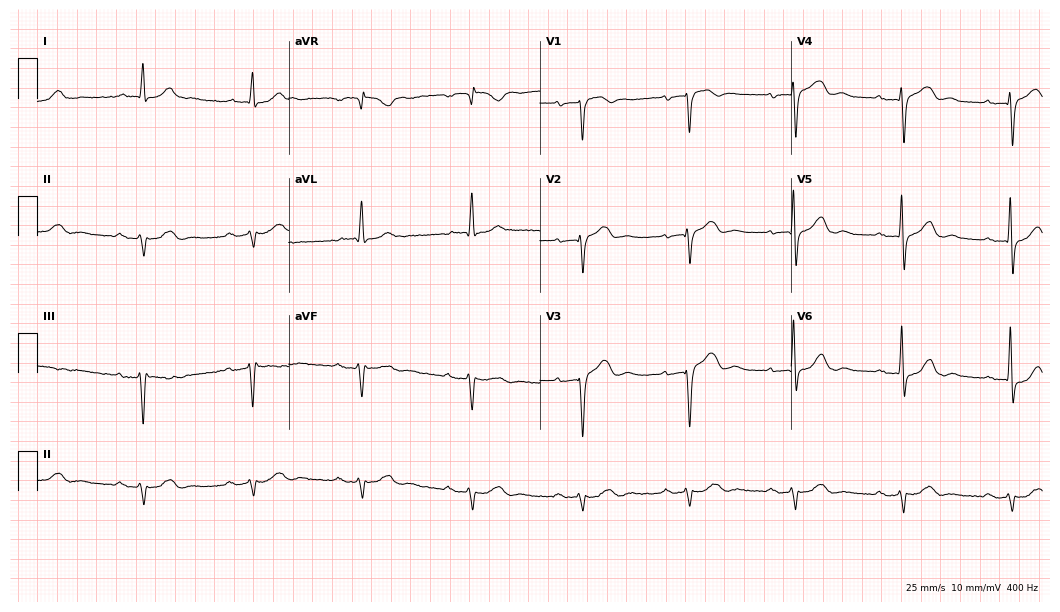
Standard 12-lead ECG recorded from an 82-year-old male. The tracing shows first-degree AV block.